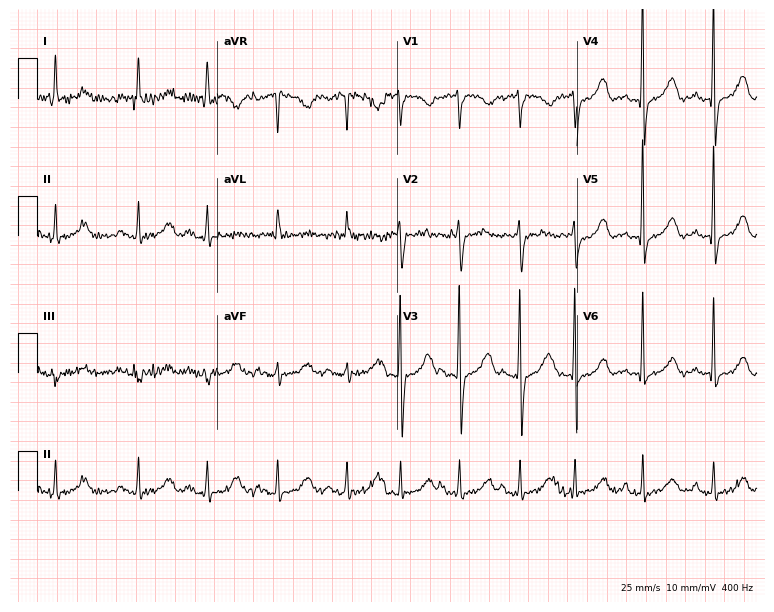
Electrocardiogram, a female, 65 years old. Of the six screened findings (first-degree AV block, right bundle branch block (RBBB), left bundle branch block (LBBB), sinus bradycardia, atrial fibrillation (AF), sinus tachycardia), none is recorded. Findings outside these six are not listed.